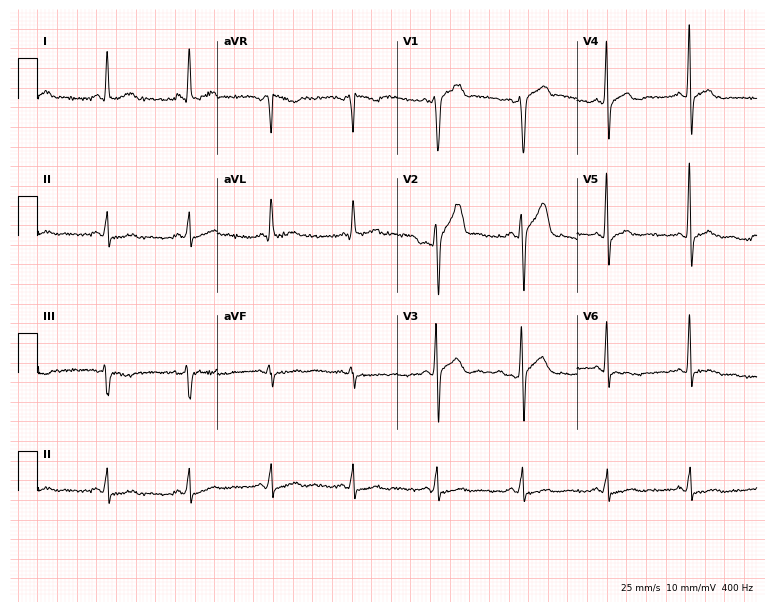
Resting 12-lead electrocardiogram. Patient: a male, 53 years old. None of these six findings is recorded: first-degree AV block, right bundle branch block, left bundle branch block, sinus bradycardia, atrial fibrillation, sinus tachycardia. Other findings, if any, are not listed.